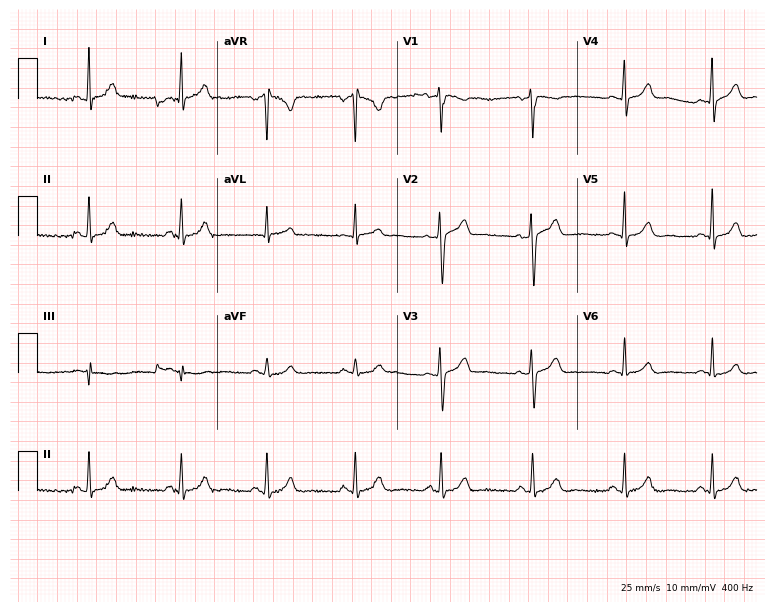
Electrocardiogram (7.3-second recording at 400 Hz), a 35-year-old female patient. Of the six screened findings (first-degree AV block, right bundle branch block, left bundle branch block, sinus bradycardia, atrial fibrillation, sinus tachycardia), none is recorded.